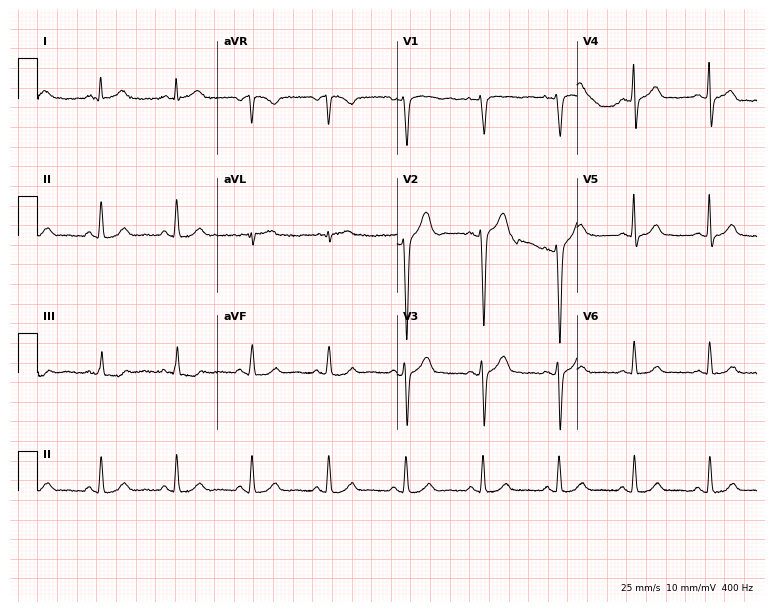
Electrocardiogram (7.3-second recording at 400 Hz), a 53-year-old male. Overall reading on record: normal ECG.